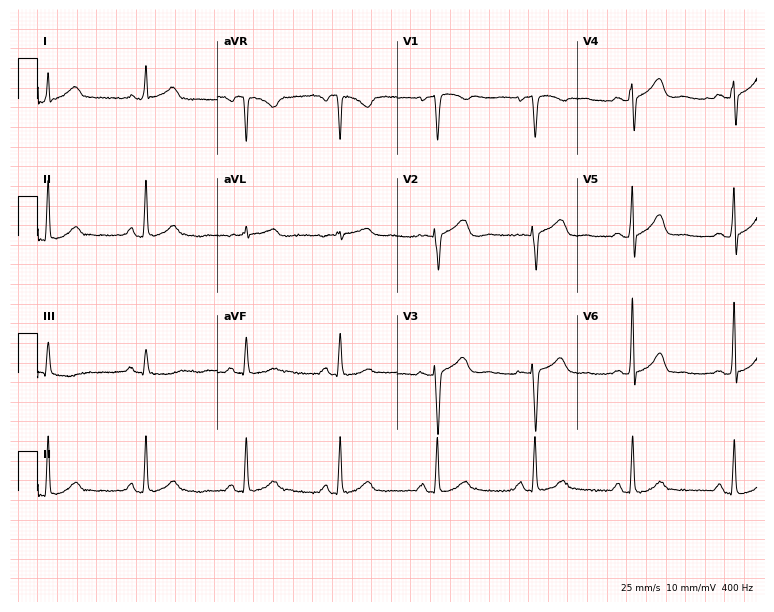
12-lead ECG from a female, 60 years old. Labelled as a normal ECG.